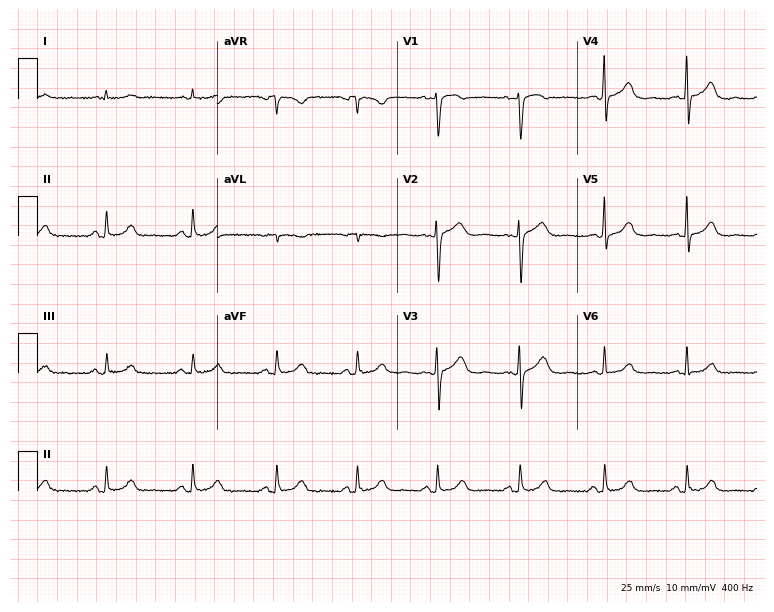
Resting 12-lead electrocardiogram. Patient: a 49-year-old female. None of these six findings is recorded: first-degree AV block, right bundle branch block, left bundle branch block, sinus bradycardia, atrial fibrillation, sinus tachycardia. Findings outside these six are not listed.